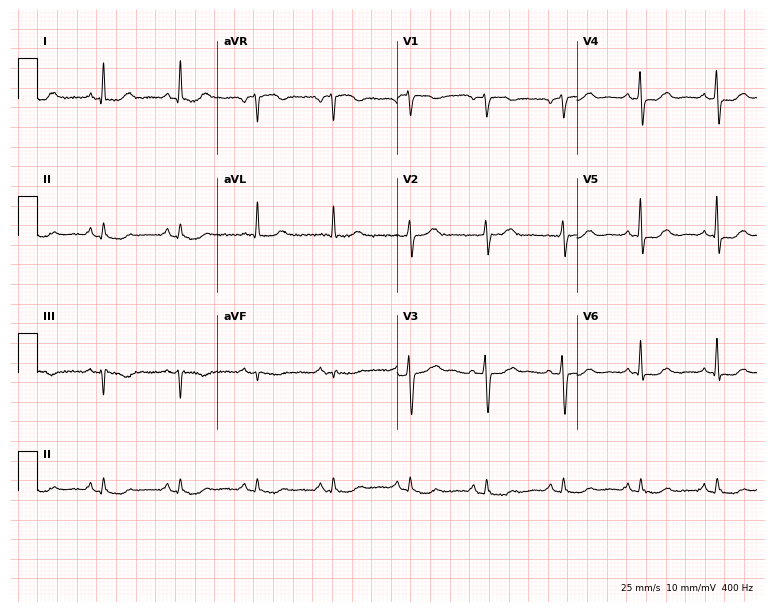
12-lead ECG (7.3-second recording at 400 Hz) from a woman, 77 years old. Screened for six findings — first-degree AV block, right bundle branch block, left bundle branch block, sinus bradycardia, atrial fibrillation, sinus tachycardia — none is recorded.